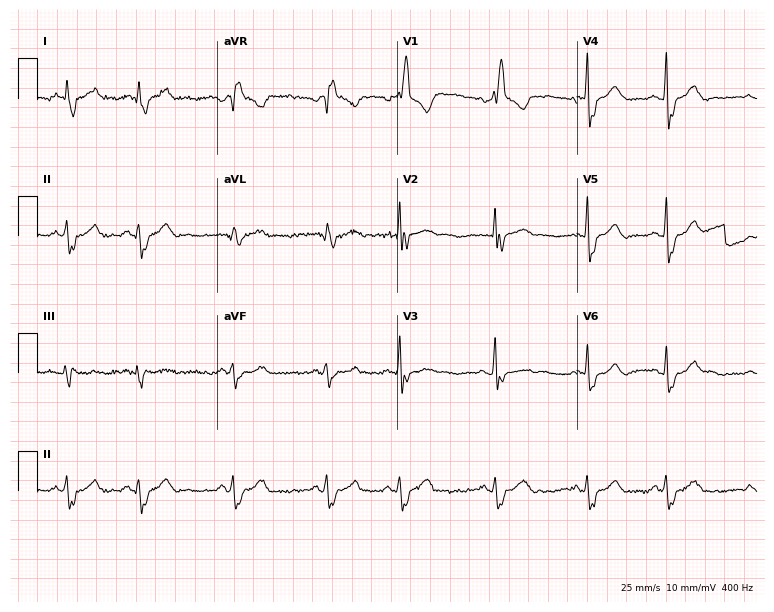
12-lead ECG from an 80-year-old male patient. Findings include right bundle branch block.